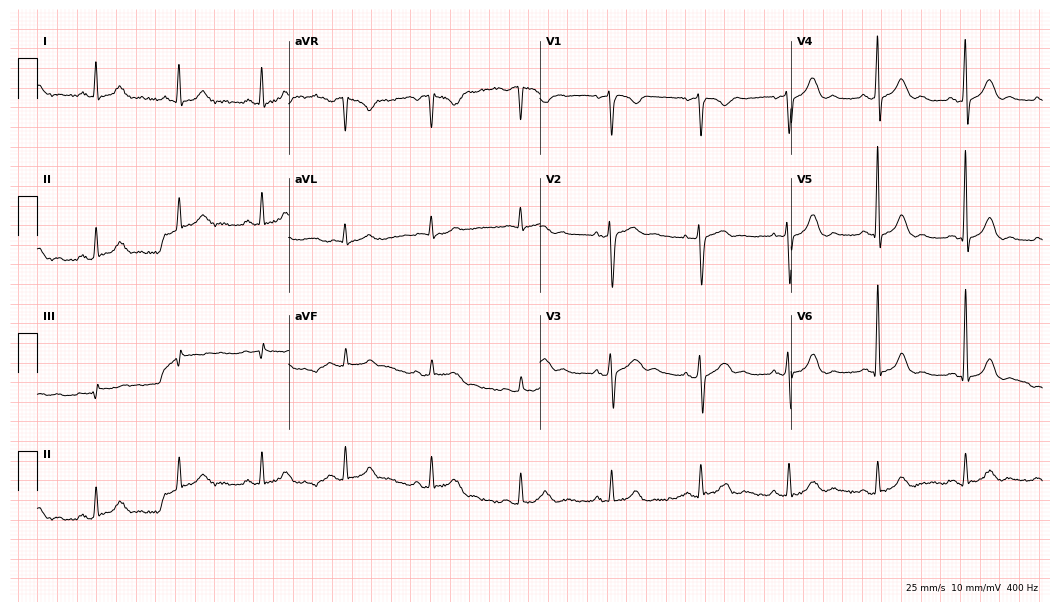
12-lead ECG from a 50-year-old male. Labelled as a normal ECG.